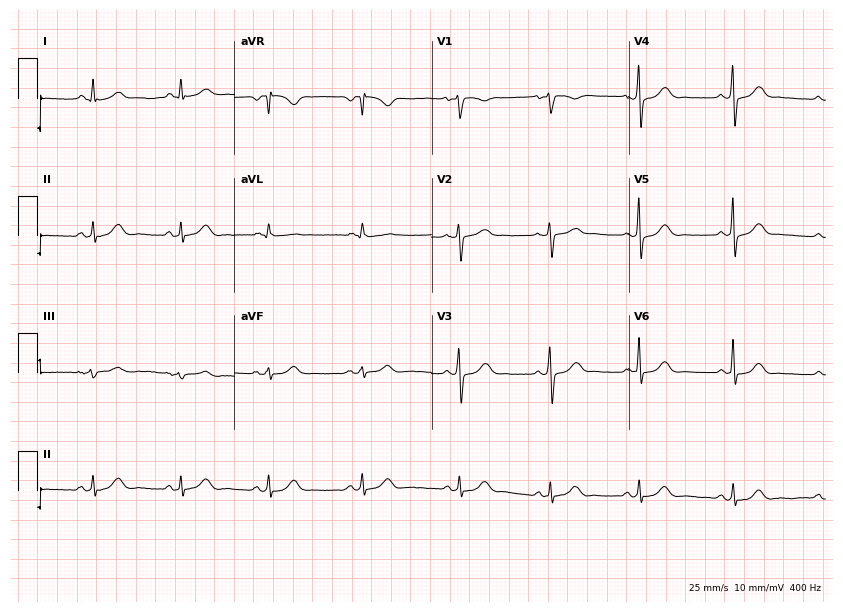
12-lead ECG (8-second recording at 400 Hz) from a 39-year-old female. Labelled as a normal ECG.